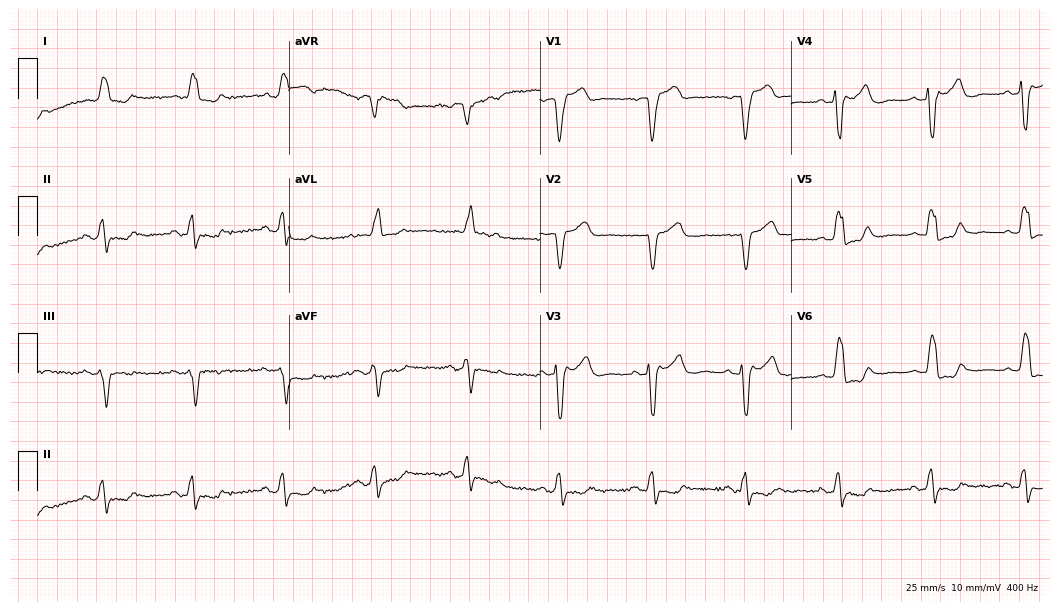
Resting 12-lead electrocardiogram (10.2-second recording at 400 Hz). Patient: a male, 74 years old. The tracing shows left bundle branch block.